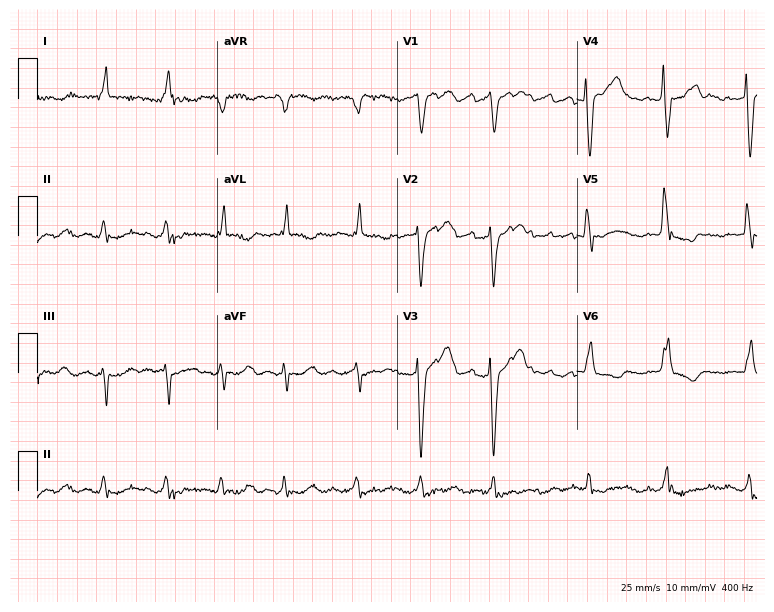
12-lead ECG (7.3-second recording at 400 Hz) from a male patient, 69 years old. Findings include left bundle branch block (LBBB), atrial fibrillation (AF).